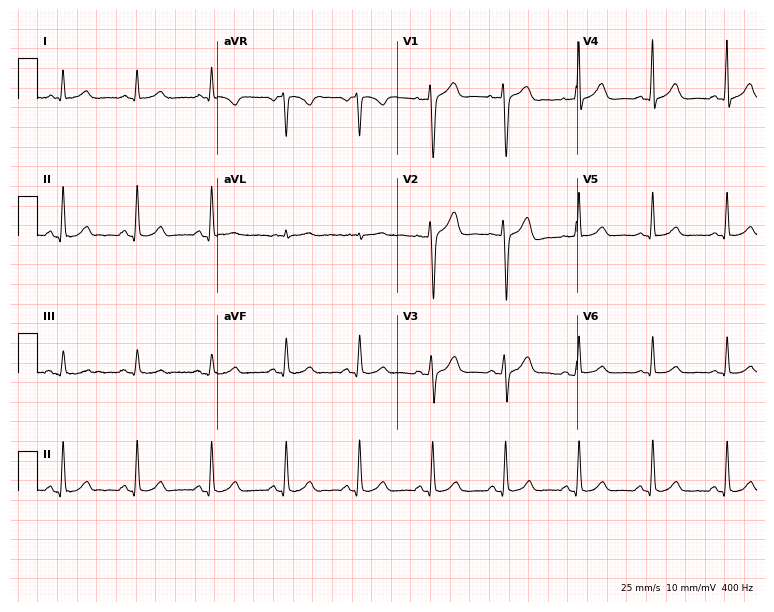
12-lead ECG from a 48-year-old male patient. Labelled as a normal ECG.